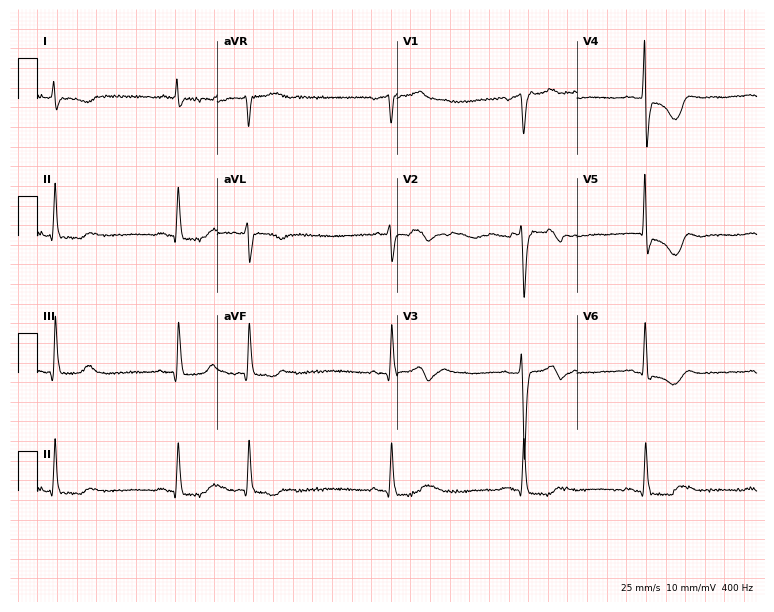
12-lead ECG from a male, 77 years old. No first-degree AV block, right bundle branch block, left bundle branch block, sinus bradycardia, atrial fibrillation or sinus tachycardia recorded for this tracing. Findings outside these six are not listed.